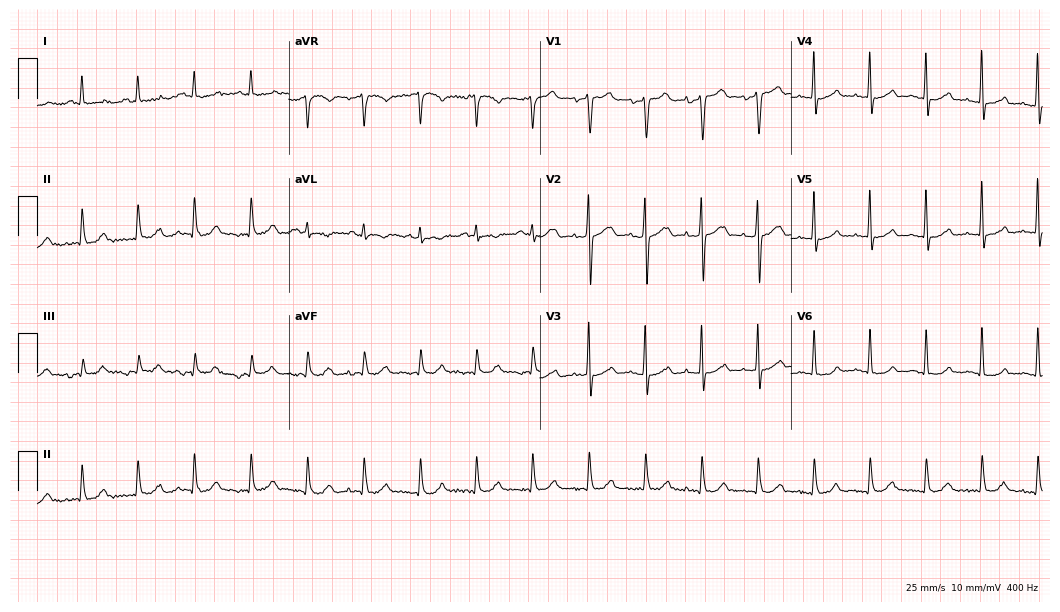
Resting 12-lead electrocardiogram (10.2-second recording at 400 Hz). Patient: an 81-year-old male. The tracing shows sinus tachycardia (a sinus rate of 100 beats per minute or more).